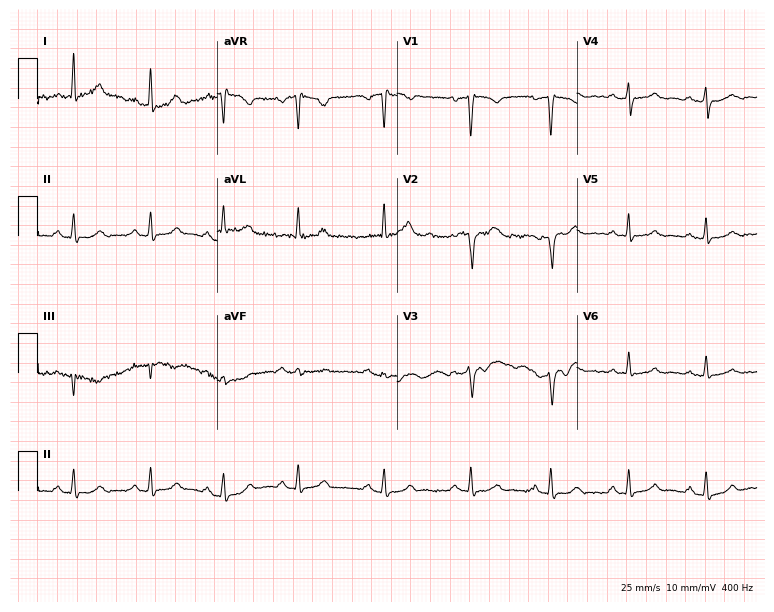
Standard 12-lead ECG recorded from a woman, 46 years old. Read as a normal ECG.